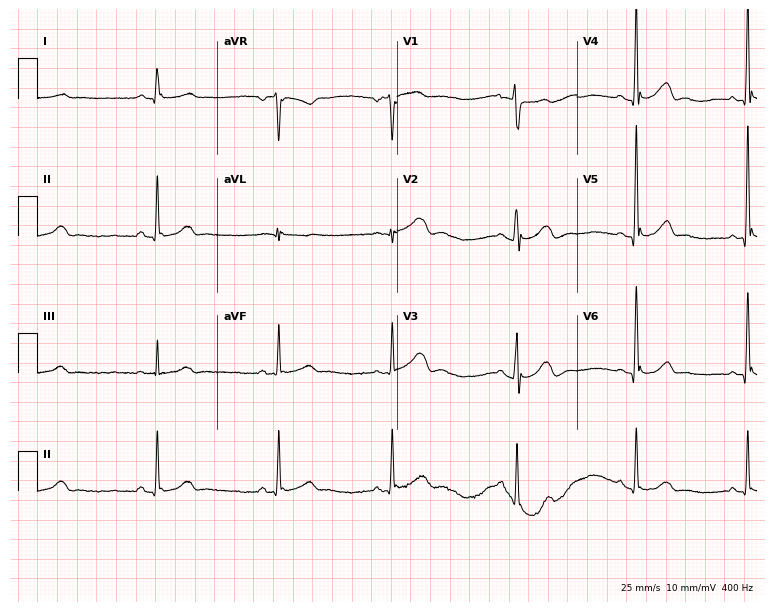
Electrocardiogram (7.3-second recording at 400 Hz), a male patient, 51 years old. Of the six screened findings (first-degree AV block, right bundle branch block, left bundle branch block, sinus bradycardia, atrial fibrillation, sinus tachycardia), none is recorded. Only these six findings were labelled.